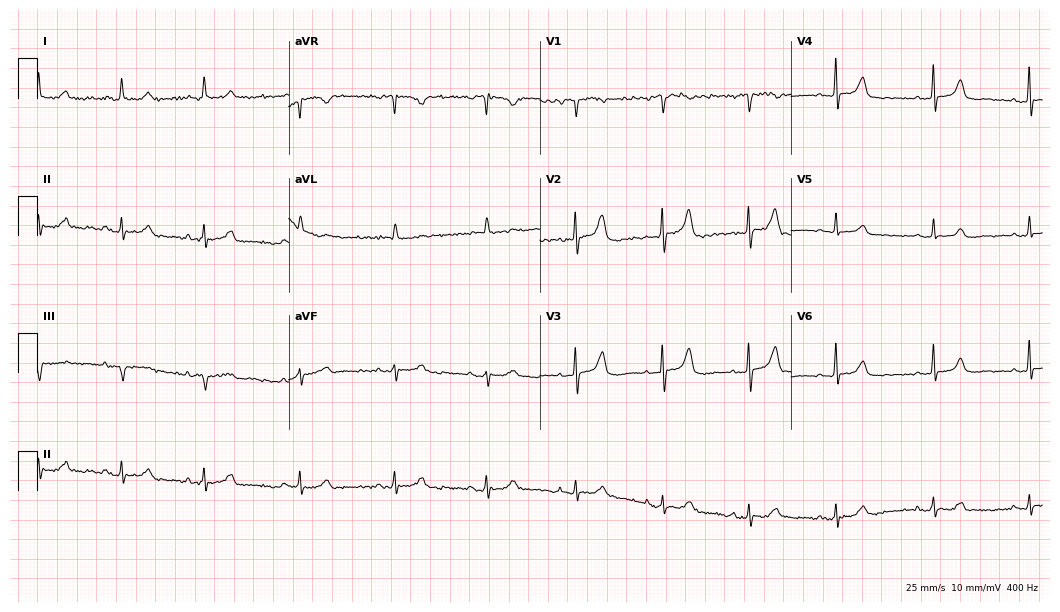
Electrocardiogram, an 82-year-old woman. Overall reading on record: normal ECG.